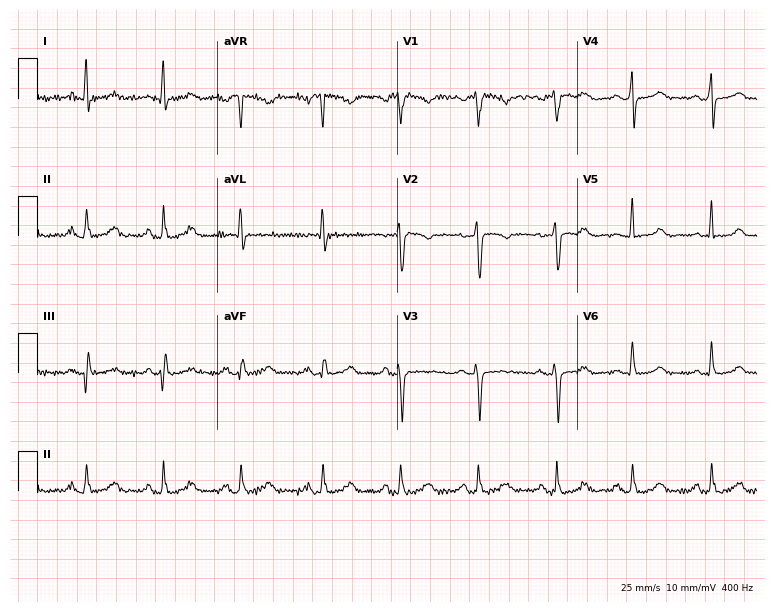
Electrocardiogram, a woman, 50 years old. Overall reading on record: normal ECG.